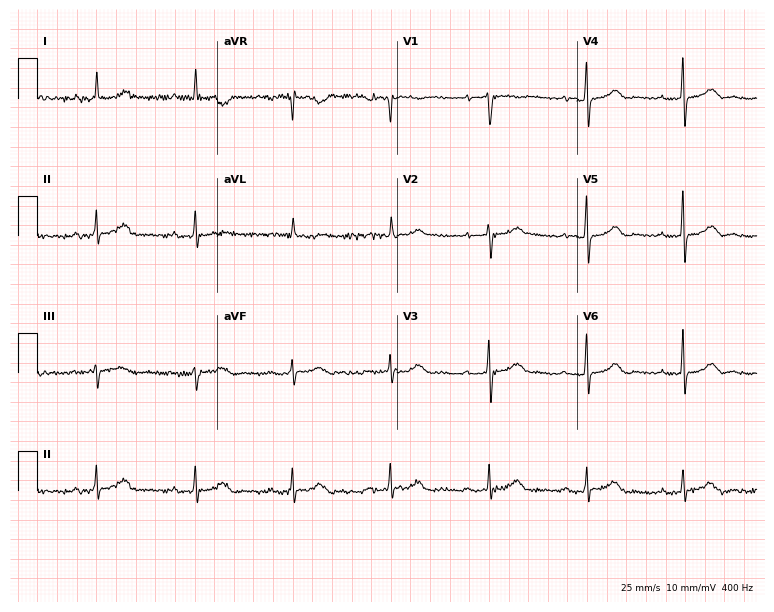
Standard 12-lead ECG recorded from a woman, 69 years old. None of these six findings is recorded: first-degree AV block, right bundle branch block, left bundle branch block, sinus bradycardia, atrial fibrillation, sinus tachycardia. Only these six findings were labelled.